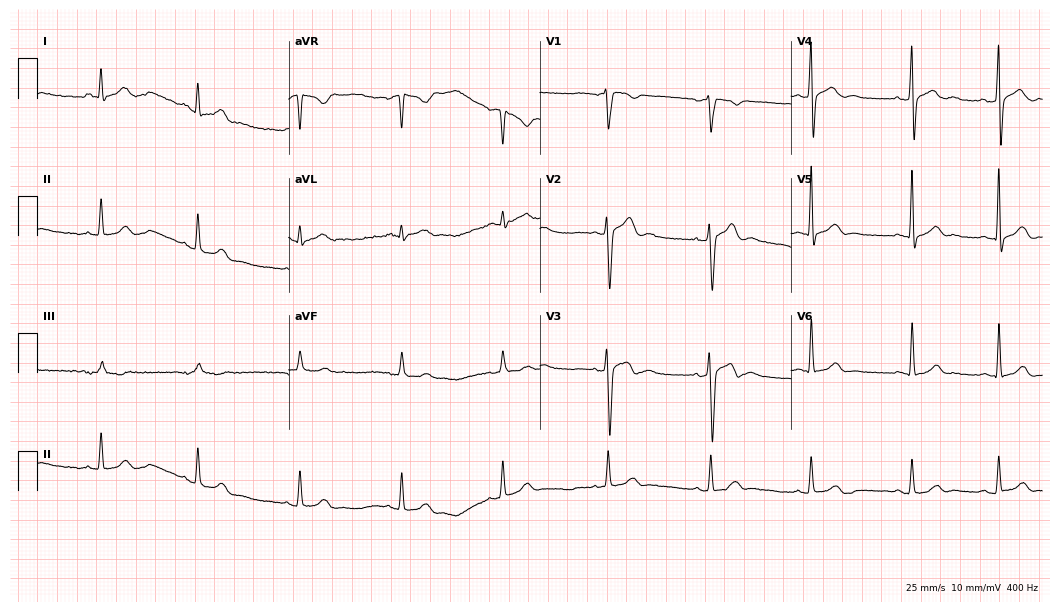
12-lead ECG from a man, 31 years old (10.2-second recording at 400 Hz). No first-degree AV block, right bundle branch block, left bundle branch block, sinus bradycardia, atrial fibrillation or sinus tachycardia recorded for this tracing. Only these six findings were labelled.